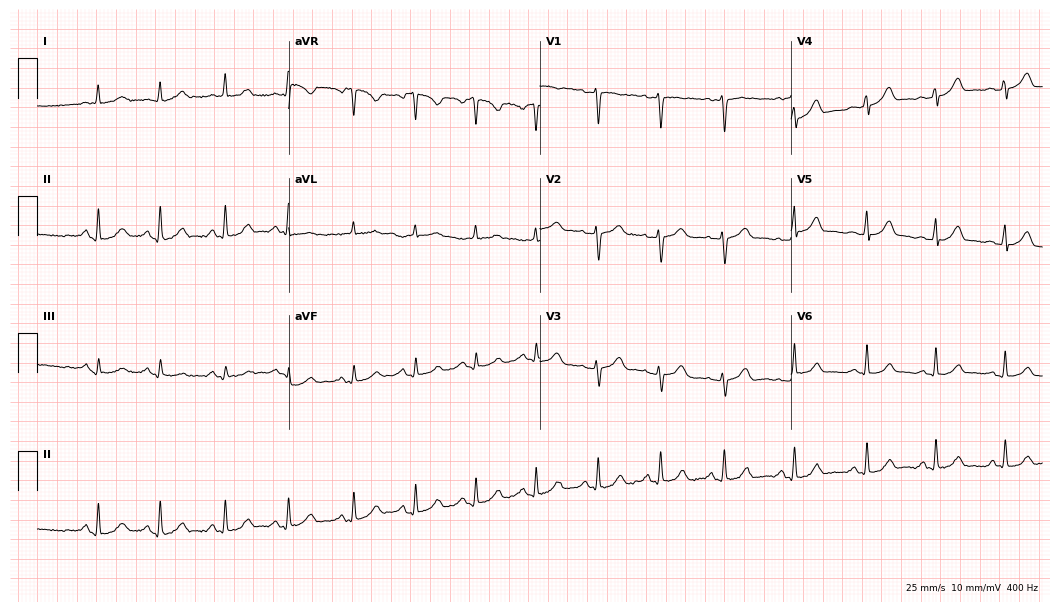
Standard 12-lead ECG recorded from a 56-year-old woman (10.2-second recording at 400 Hz). None of these six findings is recorded: first-degree AV block, right bundle branch block, left bundle branch block, sinus bradycardia, atrial fibrillation, sinus tachycardia.